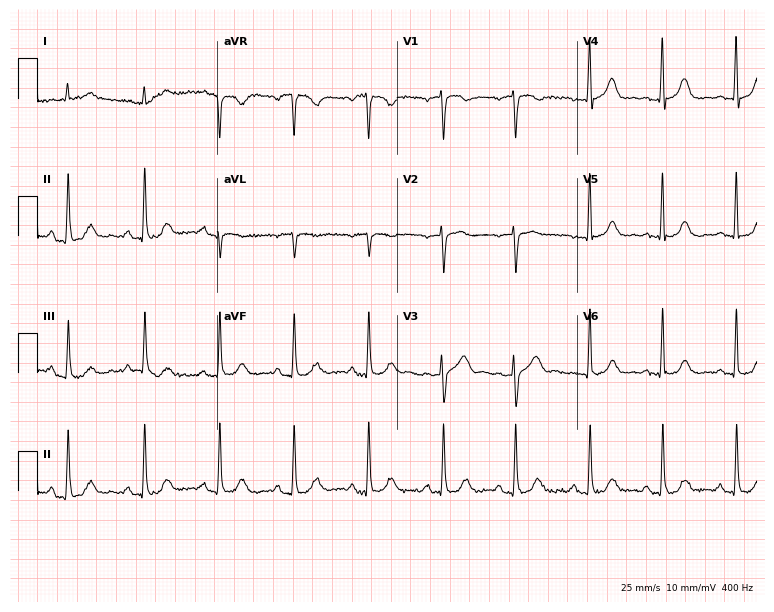
Electrocardiogram (7.3-second recording at 400 Hz), a male, 71 years old. Overall reading on record: normal ECG.